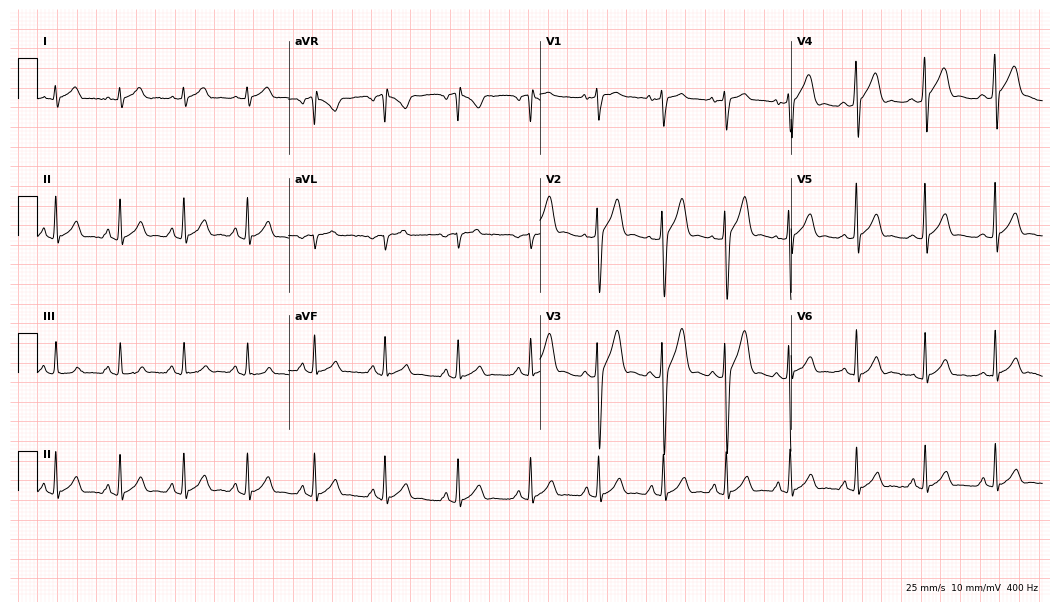
Resting 12-lead electrocardiogram (10.2-second recording at 400 Hz). Patient: a male, 19 years old. Read as a normal ECG.